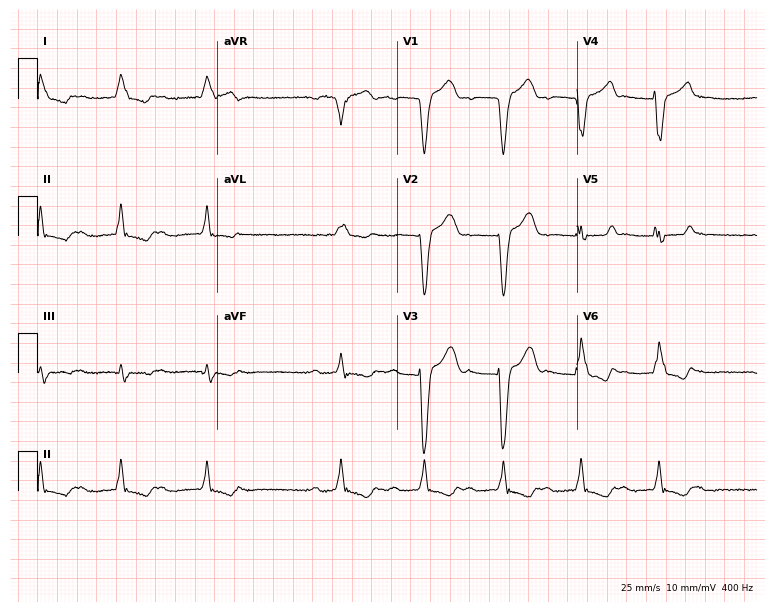
Resting 12-lead electrocardiogram. Patient: a male, 77 years old. The tracing shows left bundle branch block.